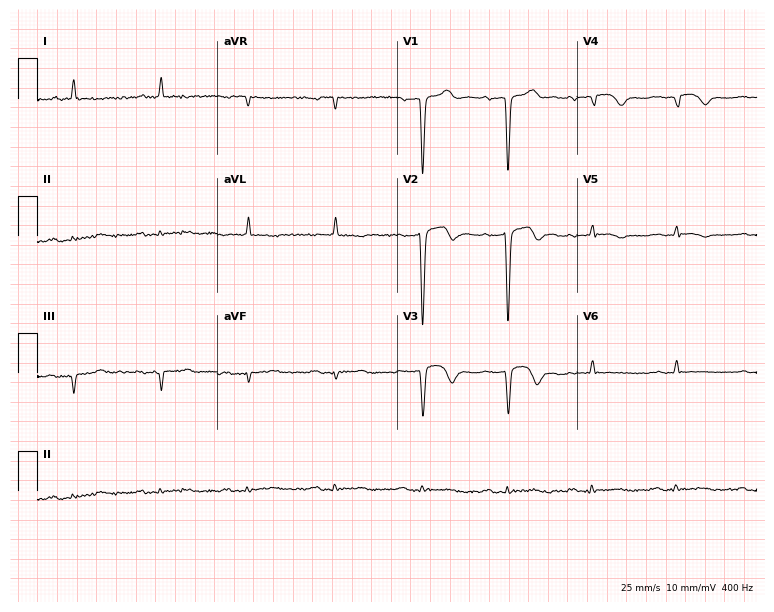
12-lead ECG from a 70-year-old male patient. Shows first-degree AV block.